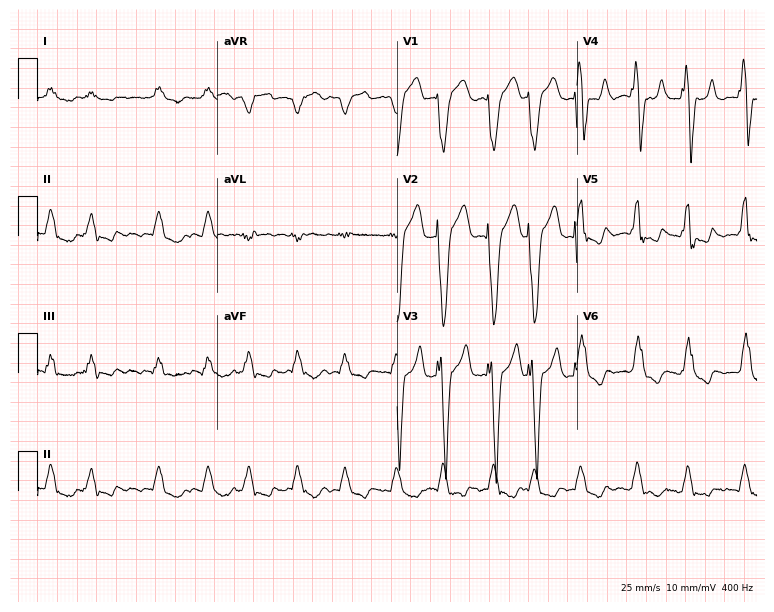
12-lead ECG from a male patient, 80 years old (7.3-second recording at 400 Hz). Shows left bundle branch block, atrial fibrillation.